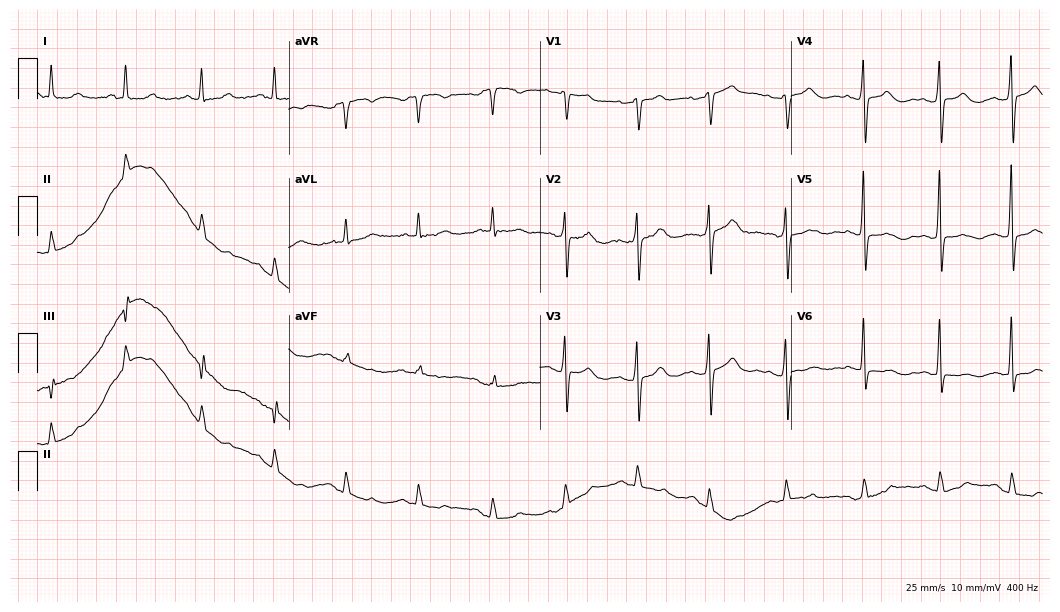
12-lead ECG from a 75-year-old female patient. Recorded interpretation: within normal limits.